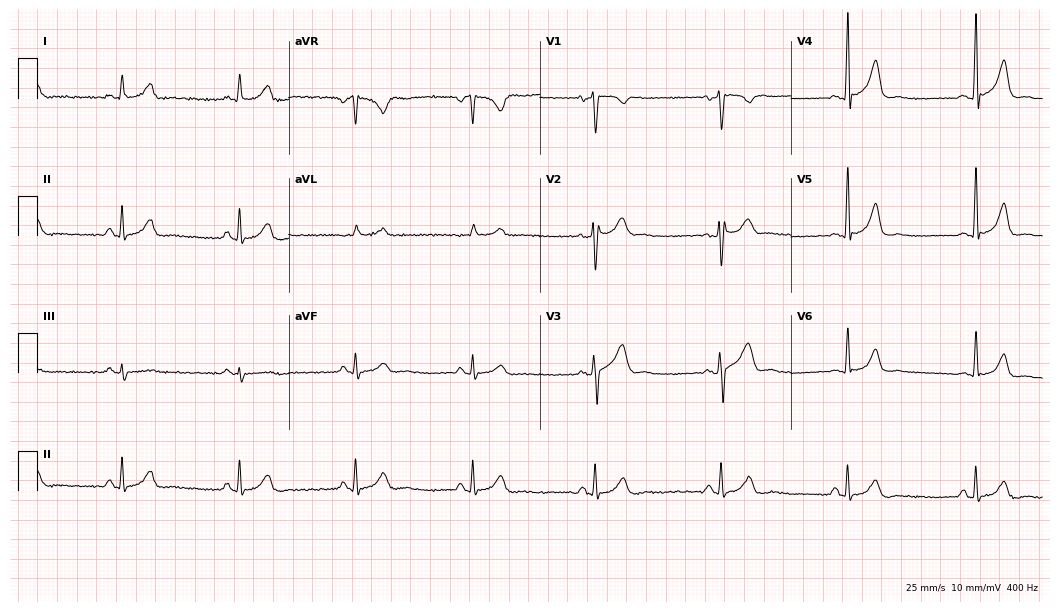
Electrocardiogram, a male, 52 years old. Interpretation includes sinus bradycardia (a sinus rate of 50 beats per minute or less).